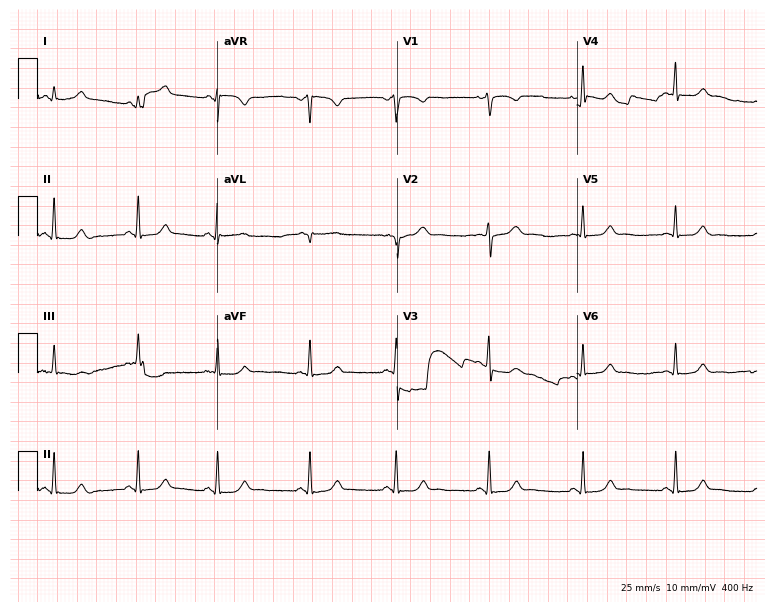
Resting 12-lead electrocardiogram. Patient: a female, 21 years old. None of these six findings is recorded: first-degree AV block, right bundle branch block, left bundle branch block, sinus bradycardia, atrial fibrillation, sinus tachycardia. Other findings, if any, are not listed.